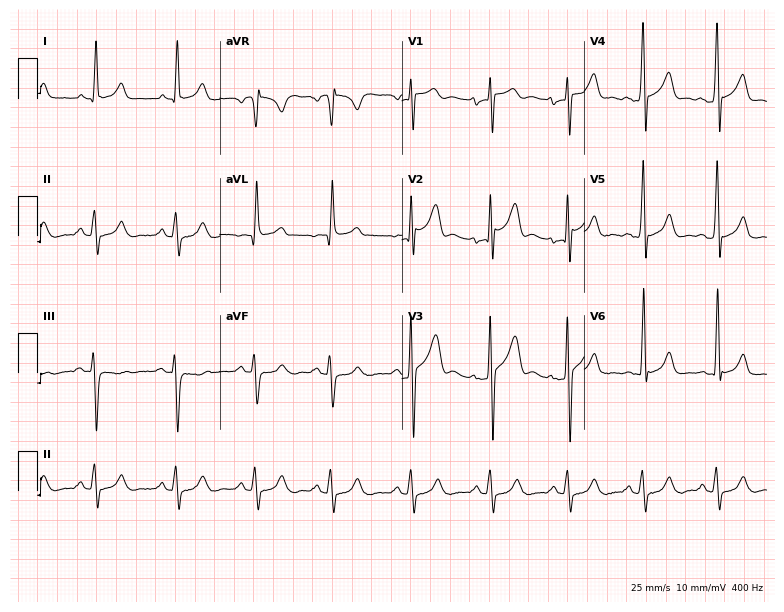
ECG — a 40-year-old male patient. Screened for six findings — first-degree AV block, right bundle branch block, left bundle branch block, sinus bradycardia, atrial fibrillation, sinus tachycardia — none is recorded. Other findings, if any, are not listed.